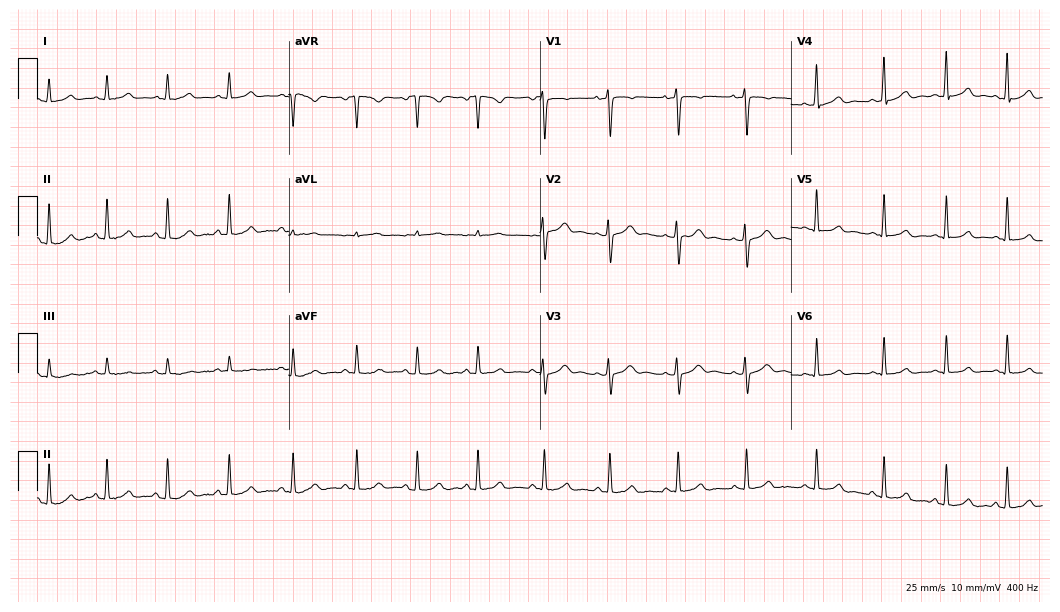
Resting 12-lead electrocardiogram. Patient: a 28-year-old woman. None of these six findings is recorded: first-degree AV block, right bundle branch block, left bundle branch block, sinus bradycardia, atrial fibrillation, sinus tachycardia. Other findings, if any, are not listed.